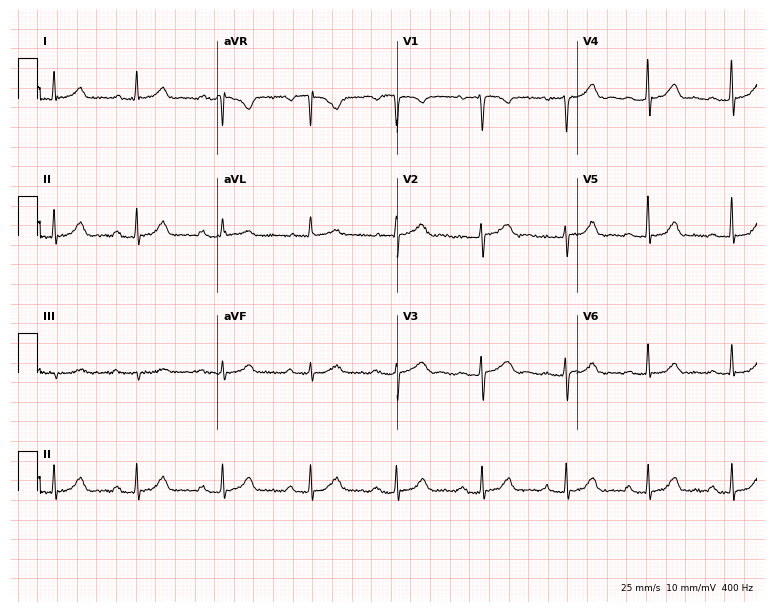
Electrocardiogram (7.3-second recording at 400 Hz), a woman, 44 years old. Interpretation includes first-degree AV block.